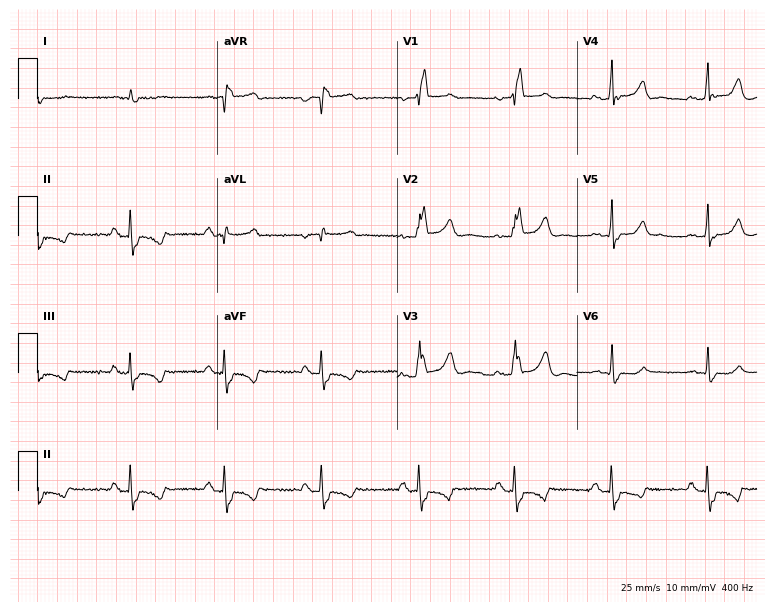
12-lead ECG (7.3-second recording at 400 Hz) from a male patient, 74 years old. Findings include right bundle branch block.